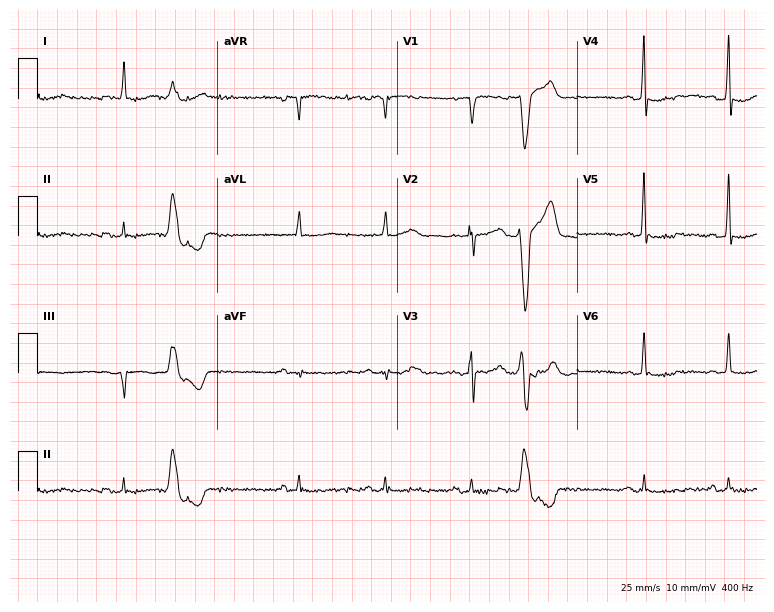
Resting 12-lead electrocardiogram. Patient: a 76-year-old male. None of these six findings is recorded: first-degree AV block, right bundle branch block, left bundle branch block, sinus bradycardia, atrial fibrillation, sinus tachycardia.